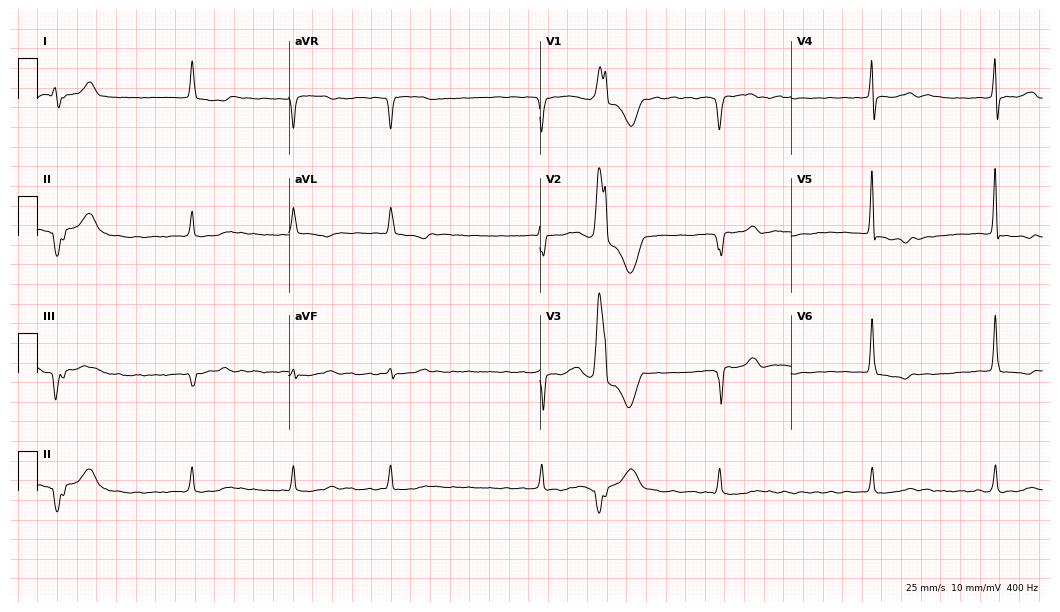
Electrocardiogram (10.2-second recording at 400 Hz), an 83-year-old woman. Interpretation includes atrial fibrillation (AF).